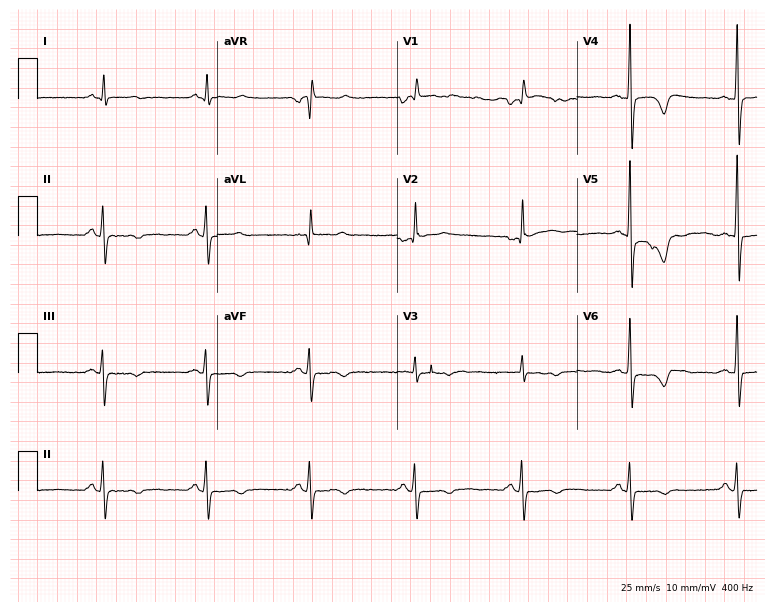
Electrocardiogram, a male, 63 years old. Overall reading on record: normal ECG.